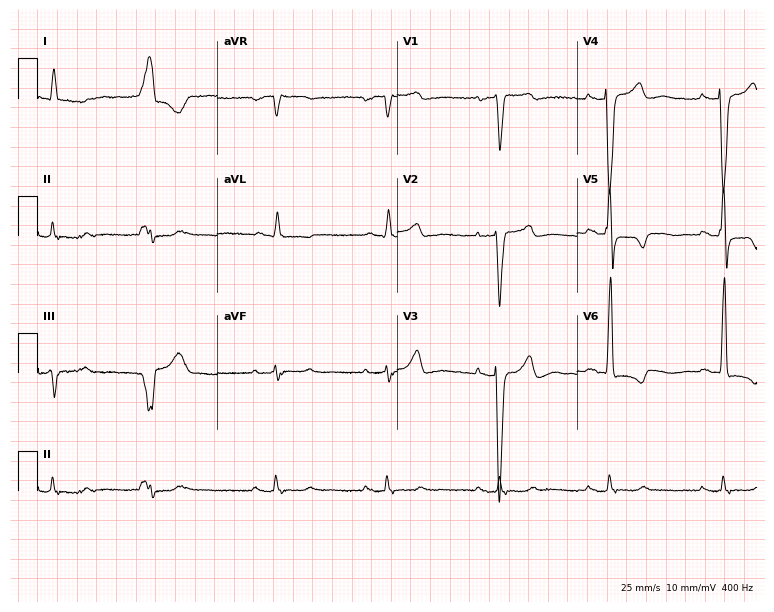
ECG — a man, 75 years old. Findings include first-degree AV block, left bundle branch block.